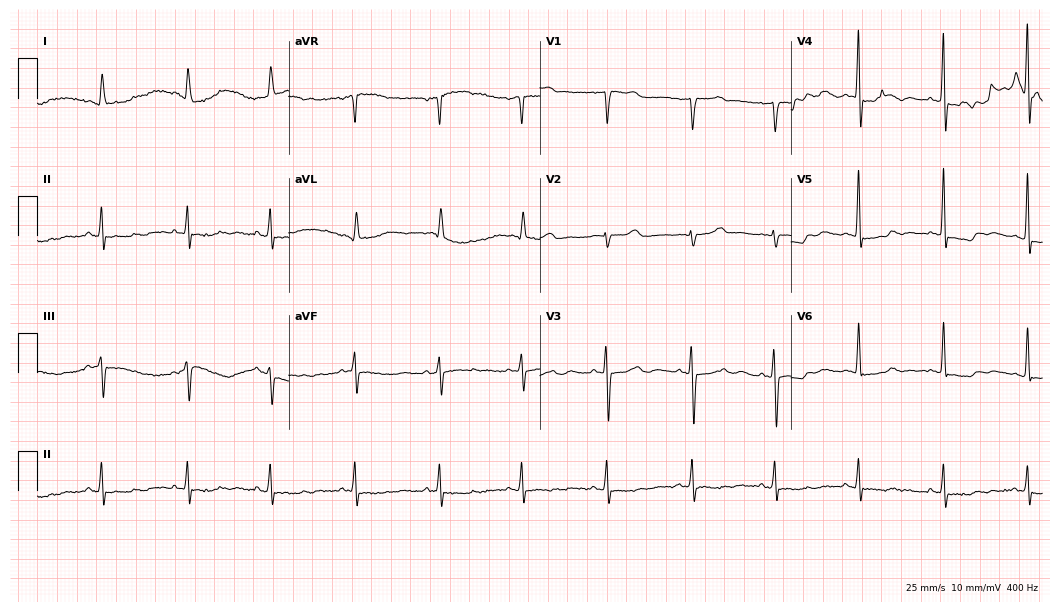
Electrocardiogram (10.2-second recording at 400 Hz), an 85-year-old woman. Of the six screened findings (first-degree AV block, right bundle branch block (RBBB), left bundle branch block (LBBB), sinus bradycardia, atrial fibrillation (AF), sinus tachycardia), none is recorded. Only these six findings were labelled.